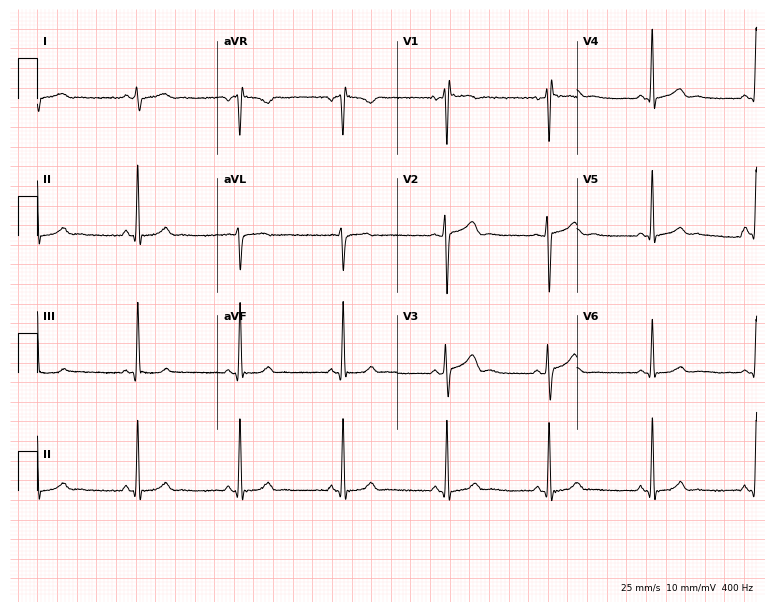
Standard 12-lead ECG recorded from a man, 35 years old. None of these six findings is recorded: first-degree AV block, right bundle branch block (RBBB), left bundle branch block (LBBB), sinus bradycardia, atrial fibrillation (AF), sinus tachycardia. Other findings, if any, are not listed.